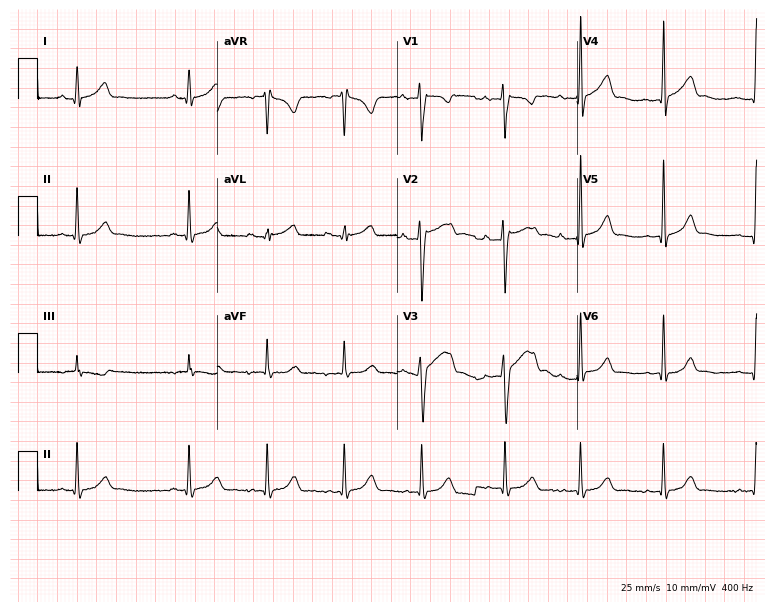
ECG — a 17-year-old male. Labelled as a normal ECG.